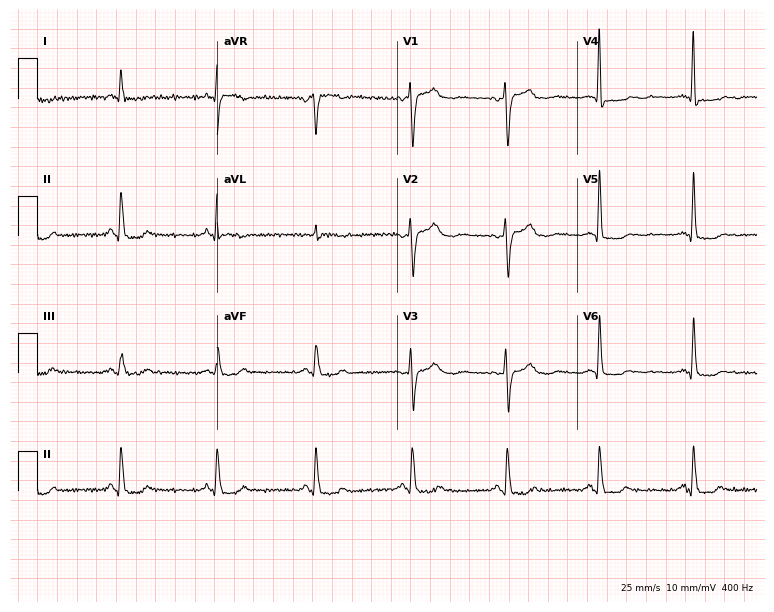
12-lead ECG from a female patient, 50 years old (7.3-second recording at 400 Hz). No first-degree AV block, right bundle branch block, left bundle branch block, sinus bradycardia, atrial fibrillation or sinus tachycardia recorded for this tracing.